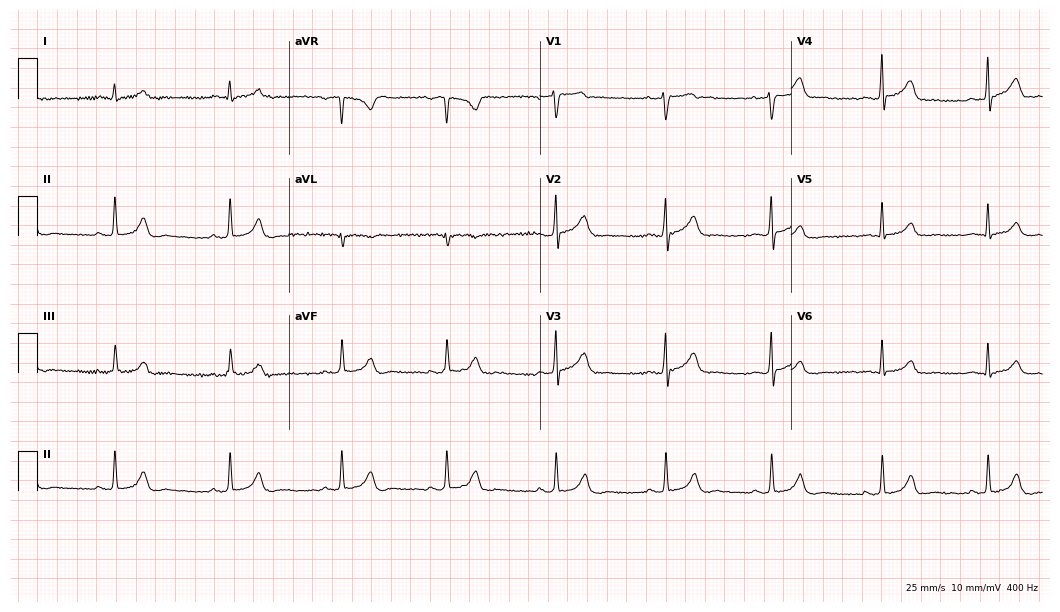
ECG — a male, 32 years old. Labelled as a normal ECG.